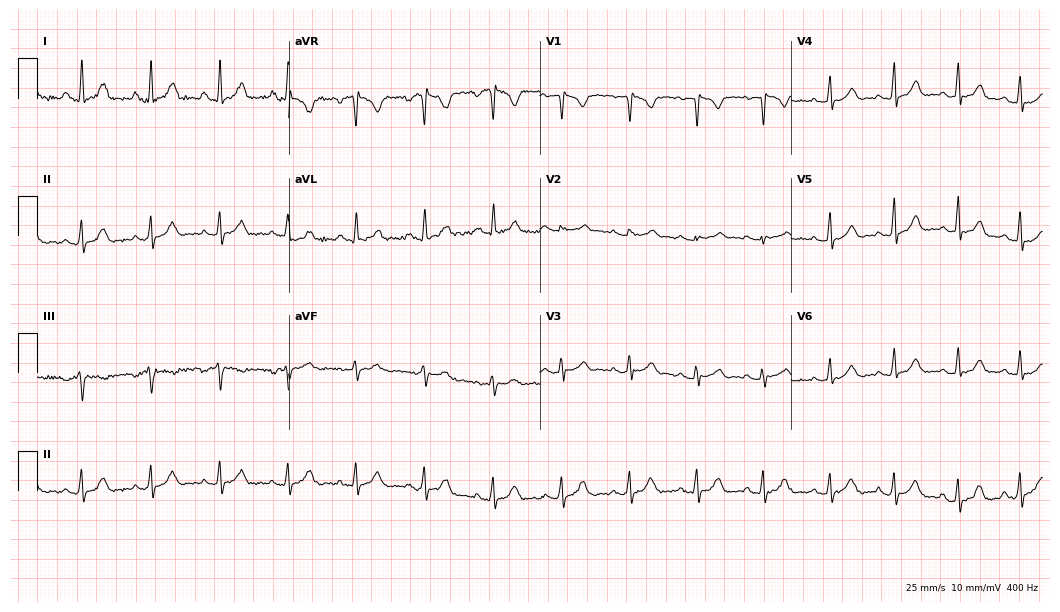
Standard 12-lead ECG recorded from a 26-year-old woman. None of these six findings is recorded: first-degree AV block, right bundle branch block (RBBB), left bundle branch block (LBBB), sinus bradycardia, atrial fibrillation (AF), sinus tachycardia.